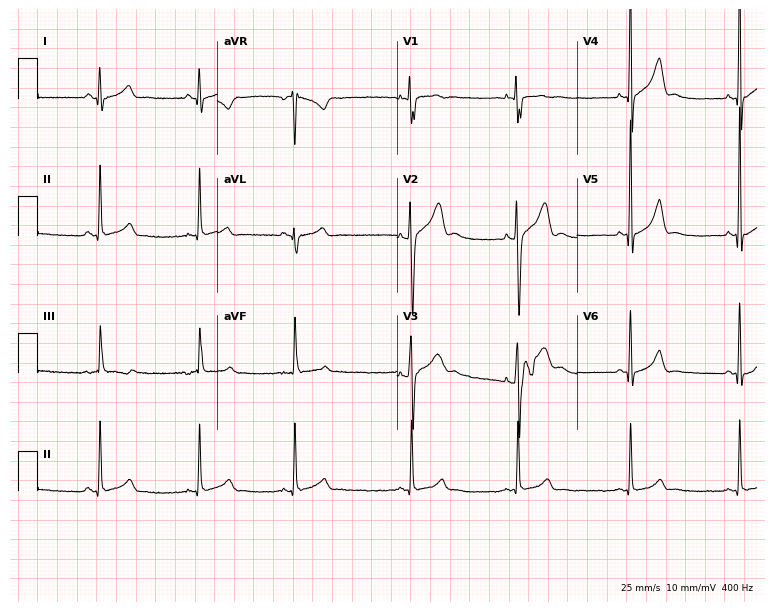
12-lead ECG (7.3-second recording at 400 Hz) from a 17-year-old man. Labelled as a normal ECG.